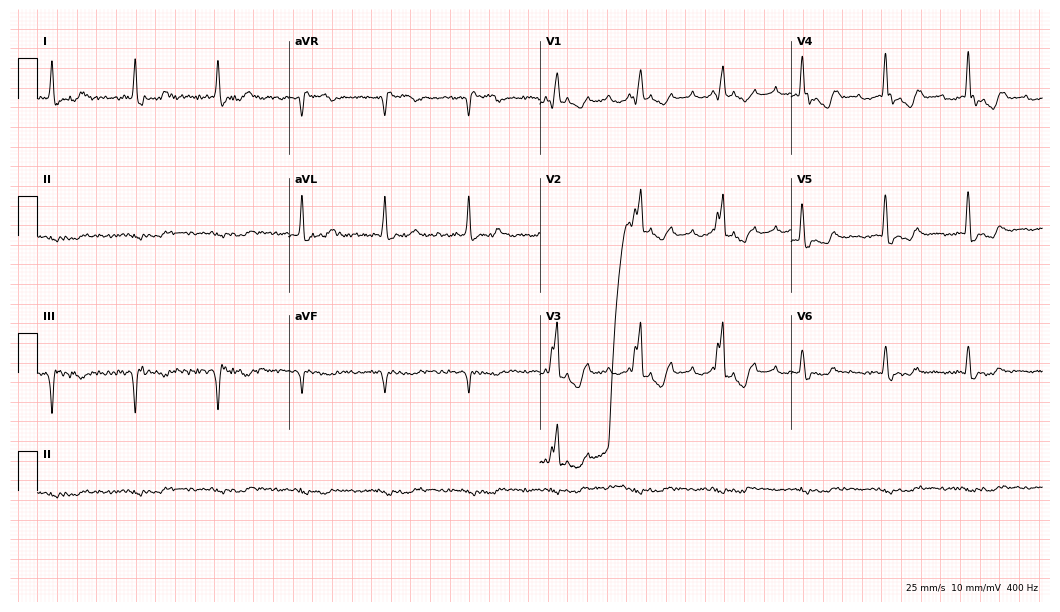
Resting 12-lead electrocardiogram (10.2-second recording at 400 Hz). Patient: a male, 74 years old. None of these six findings is recorded: first-degree AV block, right bundle branch block, left bundle branch block, sinus bradycardia, atrial fibrillation, sinus tachycardia. Findings outside these six are not listed.